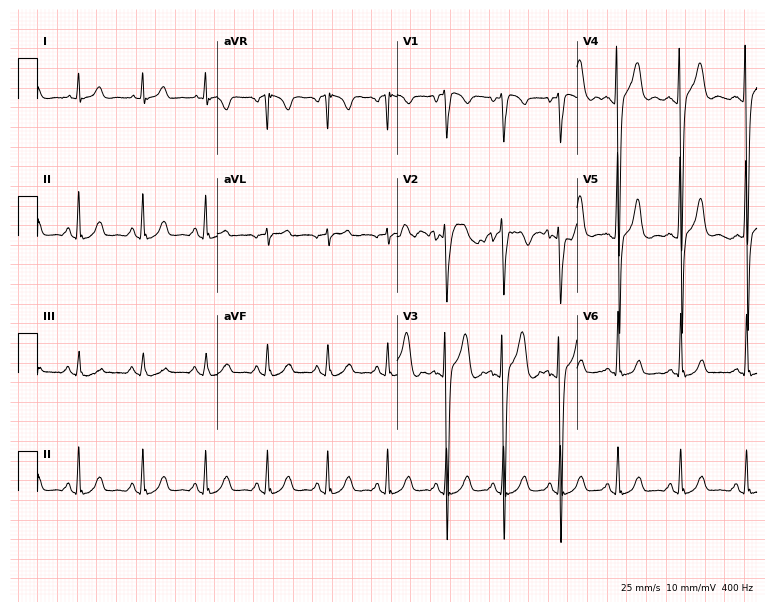
ECG (7.3-second recording at 400 Hz) — a man, 19 years old. Screened for six findings — first-degree AV block, right bundle branch block (RBBB), left bundle branch block (LBBB), sinus bradycardia, atrial fibrillation (AF), sinus tachycardia — none is recorded. Other findings, if any, are not listed.